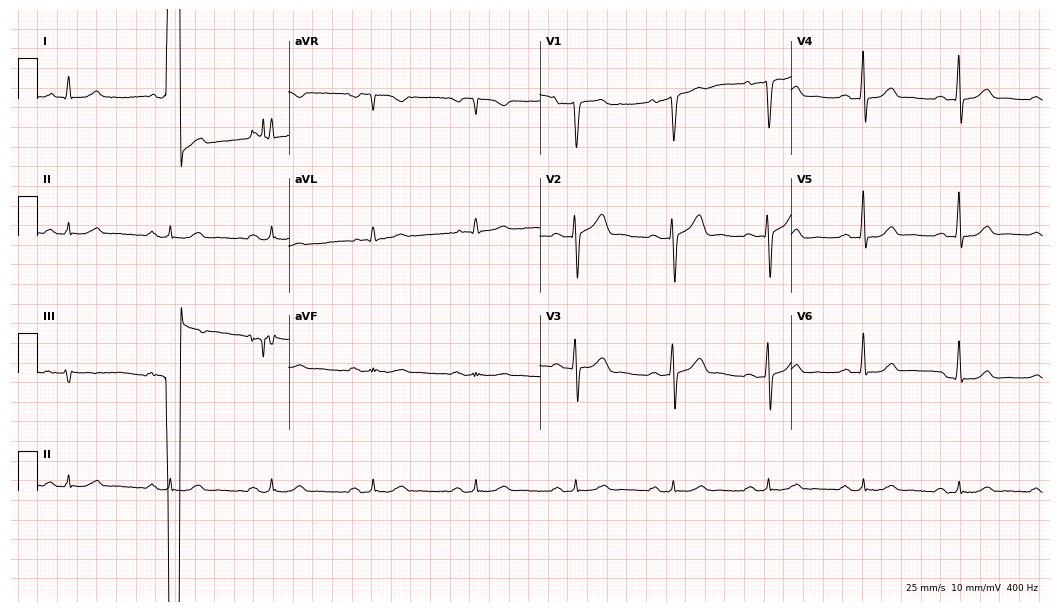
Resting 12-lead electrocardiogram. Patient: a 61-year-old male. None of these six findings is recorded: first-degree AV block, right bundle branch block, left bundle branch block, sinus bradycardia, atrial fibrillation, sinus tachycardia. Findings outside these six are not listed.